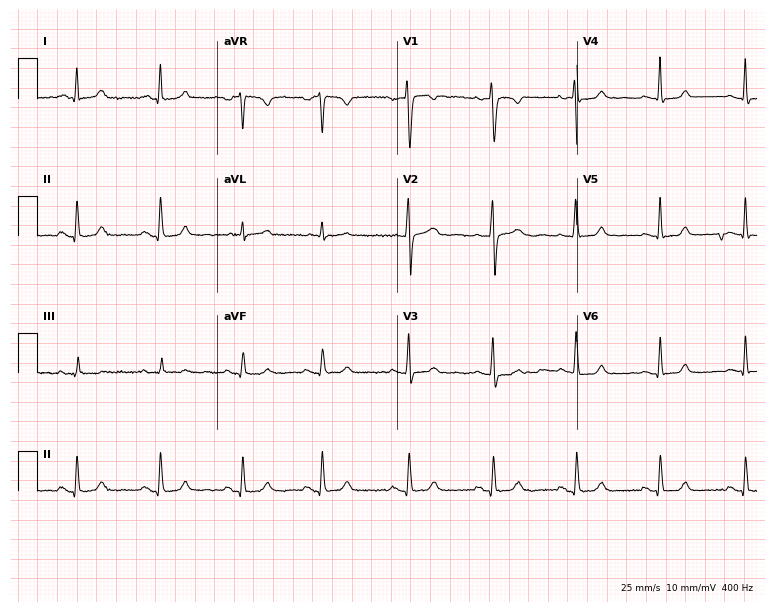
Standard 12-lead ECG recorded from a female, 30 years old (7.3-second recording at 400 Hz). Read as a normal ECG.